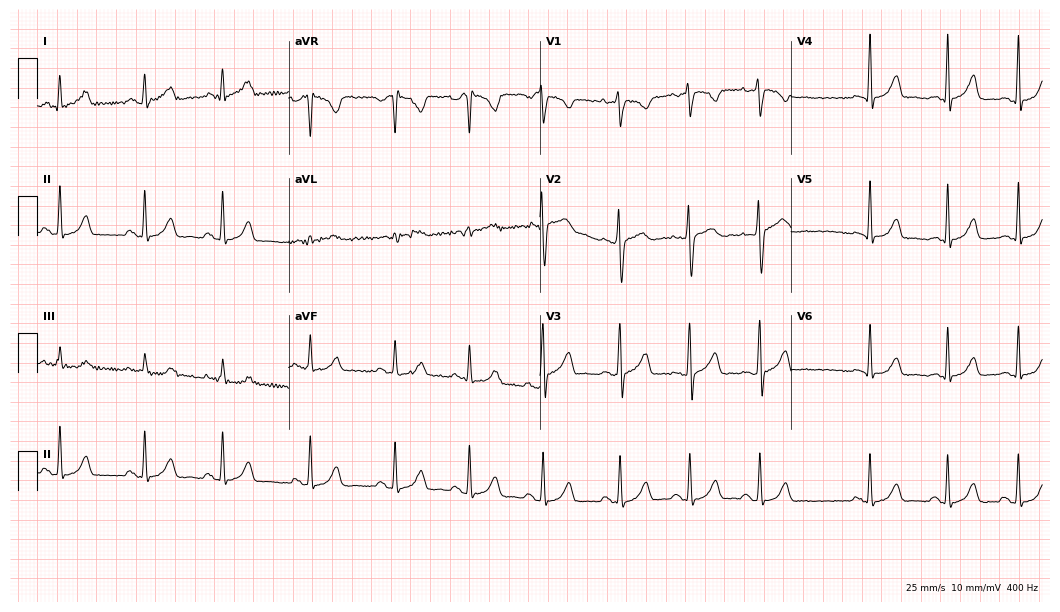
12-lead ECG (10.2-second recording at 400 Hz) from a female patient, 23 years old. Labelled as a normal ECG.